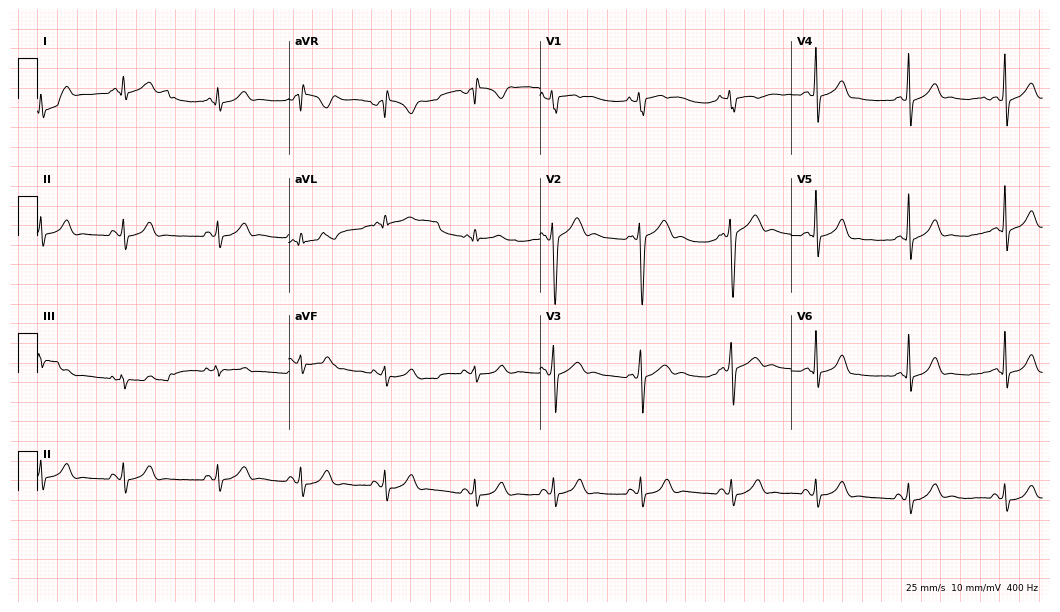
Resting 12-lead electrocardiogram (10.2-second recording at 400 Hz). Patient: a man, 18 years old. Read as a normal ECG.